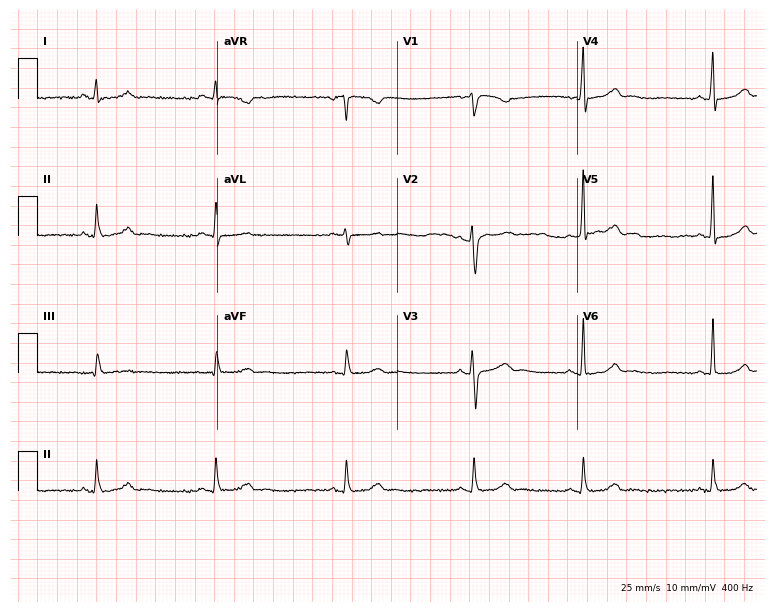
12-lead ECG from a female patient, 39 years old. Findings include sinus bradycardia (a sinus rate of 50 beats per minute or less).